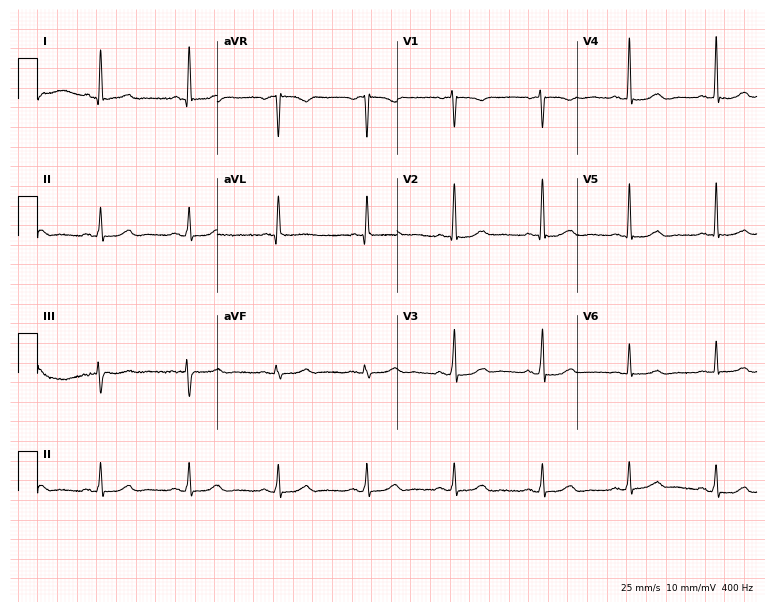
12-lead ECG from a 70-year-old female. Recorded interpretation: within normal limits.